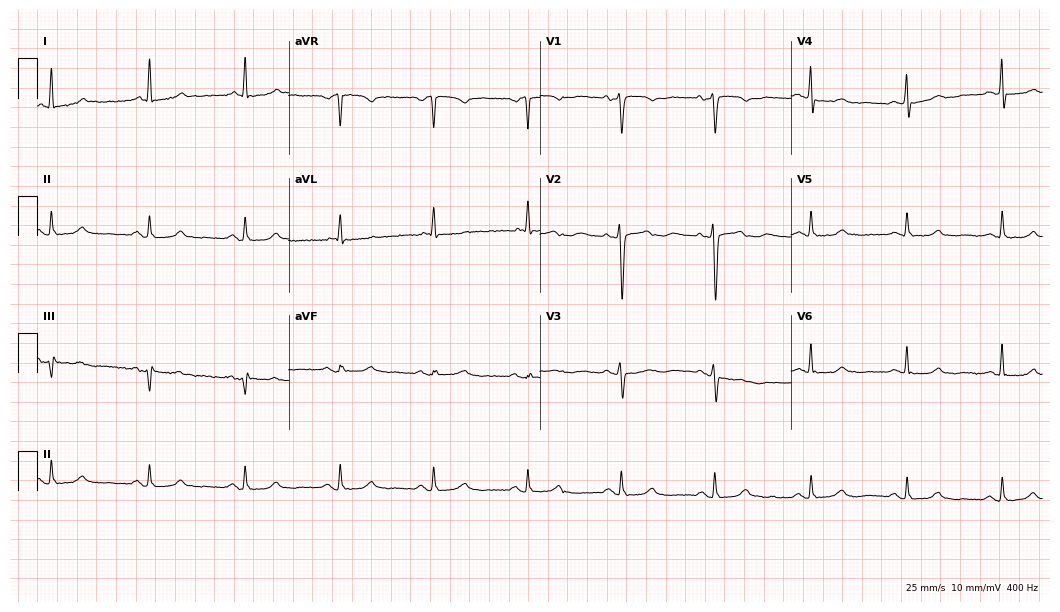
Standard 12-lead ECG recorded from a male, 71 years old (10.2-second recording at 400 Hz). None of these six findings is recorded: first-degree AV block, right bundle branch block (RBBB), left bundle branch block (LBBB), sinus bradycardia, atrial fibrillation (AF), sinus tachycardia. Findings outside these six are not listed.